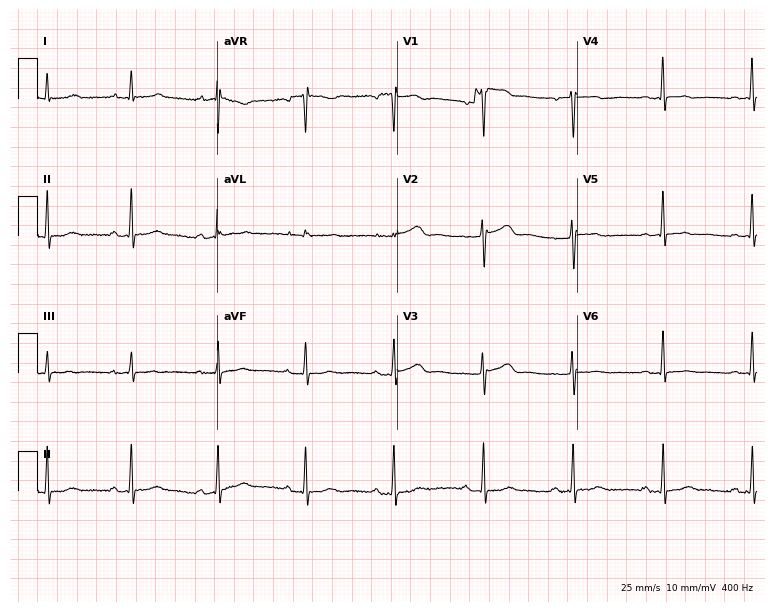
Standard 12-lead ECG recorded from a 56-year-old woman. Read as a normal ECG.